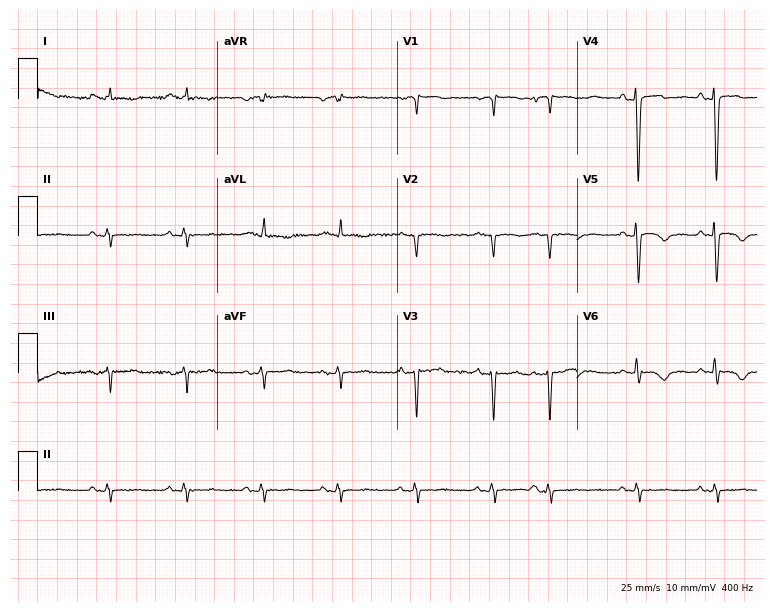
12-lead ECG from a female, 74 years old. No first-degree AV block, right bundle branch block (RBBB), left bundle branch block (LBBB), sinus bradycardia, atrial fibrillation (AF) or sinus tachycardia recorded for this tracing. Only these six findings were labelled.